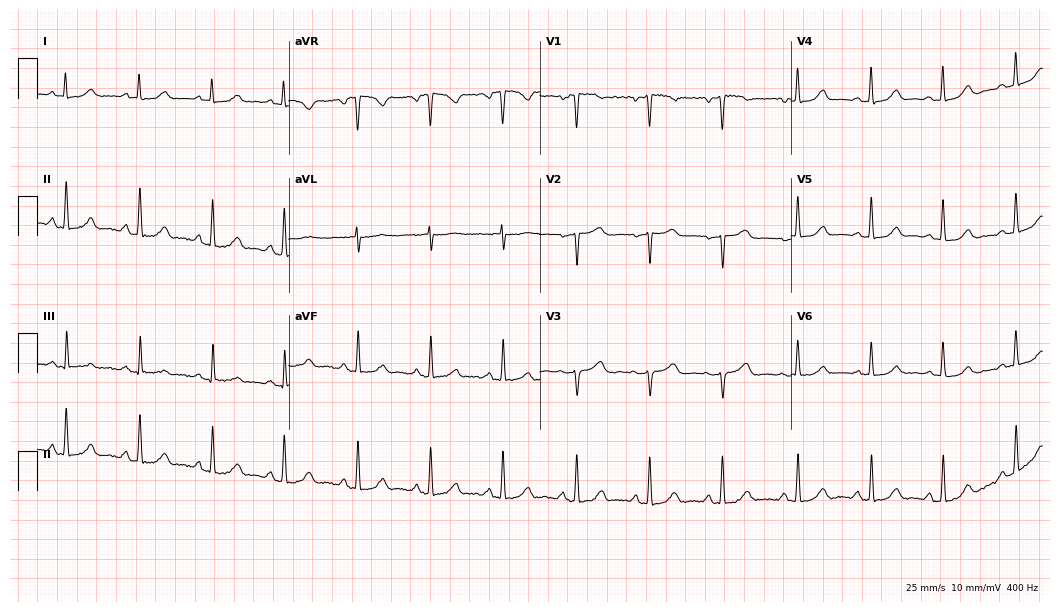
Standard 12-lead ECG recorded from a 44-year-old female (10.2-second recording at 400 Hz). None of these six findings is recorded: first-degree AV block, right bundle branch block (RBBB), left bundle branch block (LBBB), sinus bradycardia, atrial fibrillation (AF), sinus tachycardia.